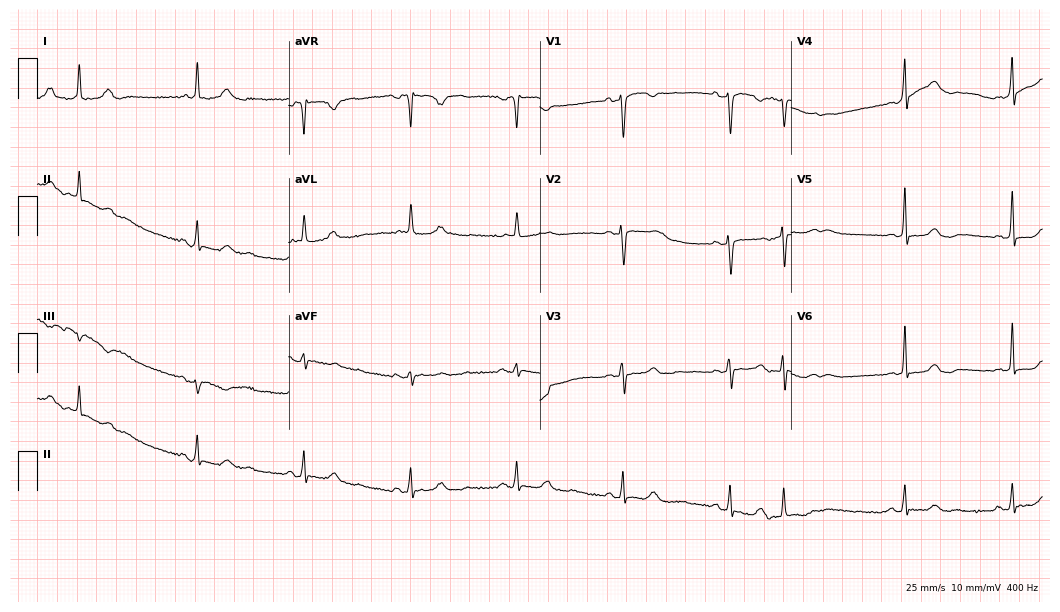
Standard 12-lead ECG recorded from an 85-year-old female patient. None of these six findings is recorded: first-degree AV block, right bundle branch block (RBBB), left bundle branch block (LBBB), sinus bradycardia, atrial fibrillation (AF), sinus tachycardia.